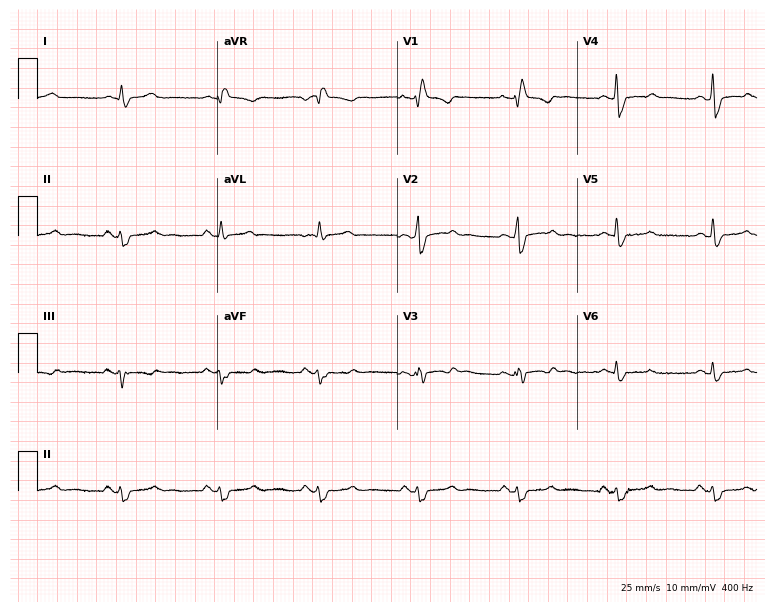
12-lead ECG from a female patient, 52 years old. Screened for six findings — first-degree AV block, right bundle branch block, left bundle branch block, sinus bradycardia, atrial fibrillation, sinus tachycardia — none is recorded. Other findings, if any, are not listed.